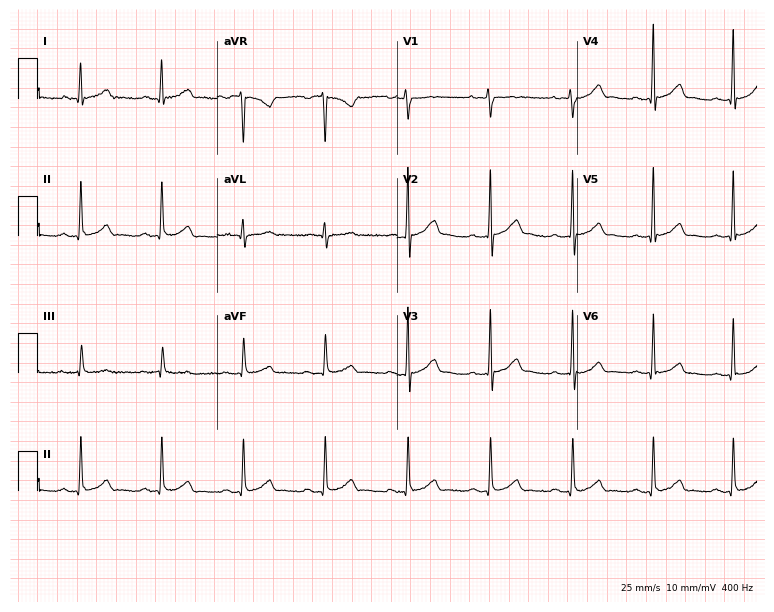
Electrocardiogram, a male patient, 34 years old. Overall reading on record: normal ECG.